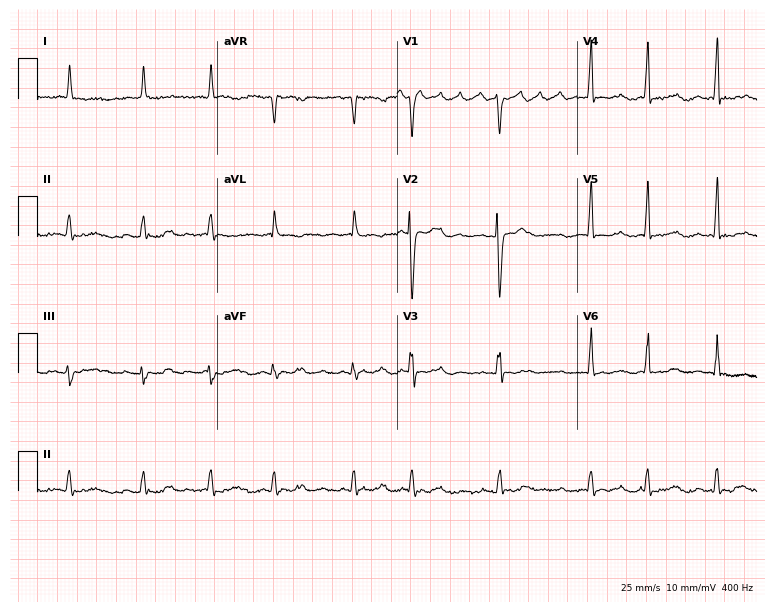
12-lead ECG (7.3-second recording at 400 Hz) from a 77-year-old female patient. Findings include atrial fibrillation.